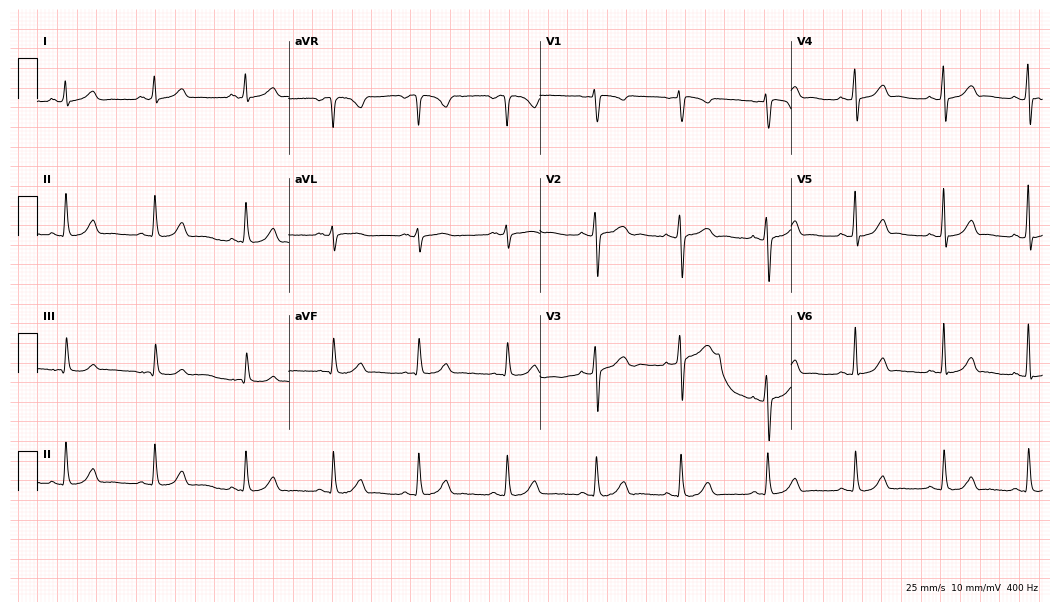
12-lead ECG from a 58-year-old woman (10.2-second recording at 400 Hz). Recorded interpretation: within normal limits.